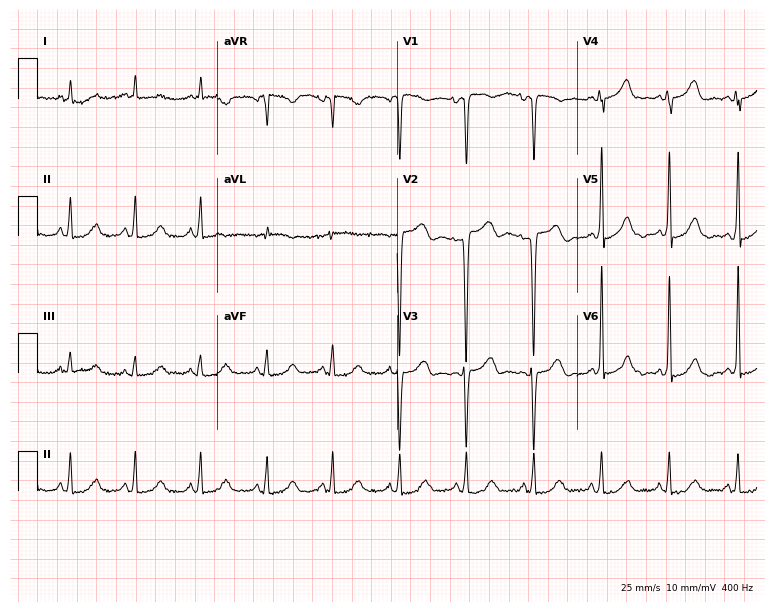
ECG (7.3-second recording at 400 Hz) — a woman, 79 years old. Screened for six findings — first-degree AV block, right bundle branch block (RBBB), left bundle branch block (LBBB), sinus bradycardia, atrial fibrillation (AF), sinus tachycardia — none is recorded.